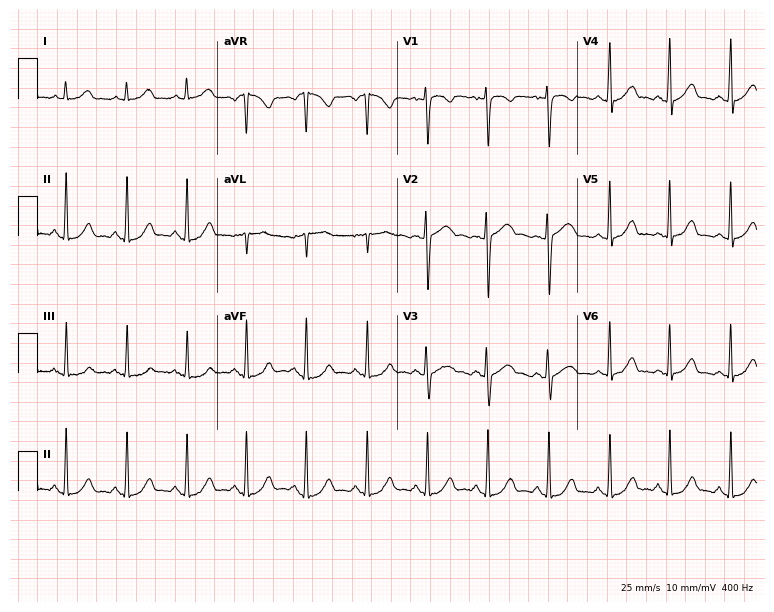
Electrocardiogram, a female patient, 27 years old. Of the six screened findings (first-degree AV block, right bundle branch block, left bundle branch block, sinus bradycardia, atrial fibrillation, sinus tachycardia), none is recorded.